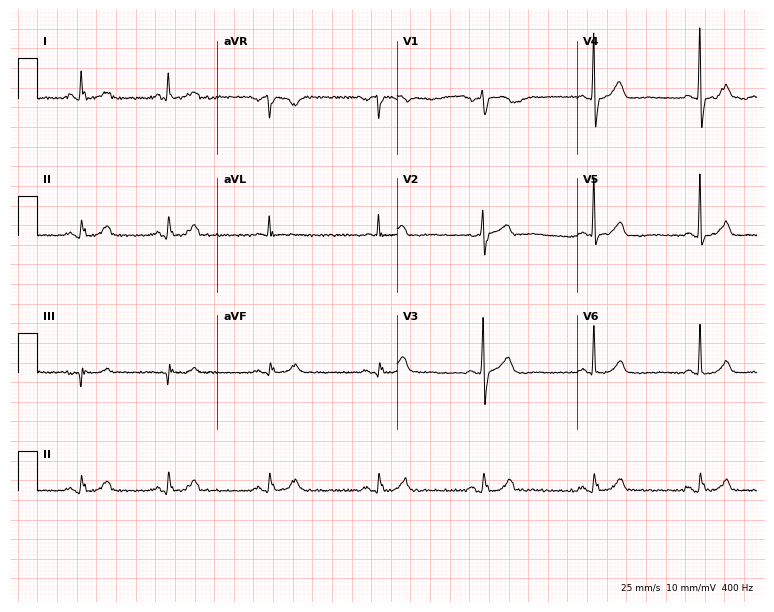
12-lead ECG (7.3-second recording at 400 Hz) from a 51-year-old man. Labelled as a normal ECG.